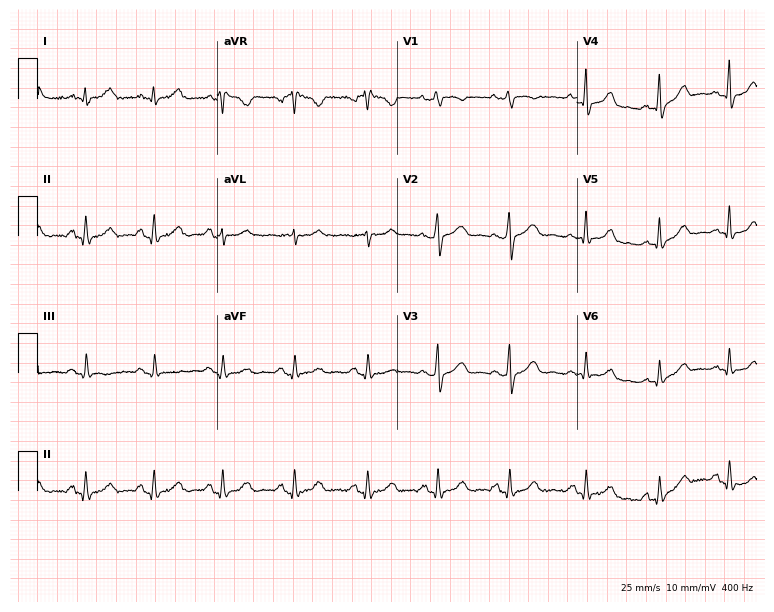
Standard 12-lead ECG recorded from a 37-year-old woman. Read as a normal ECG.